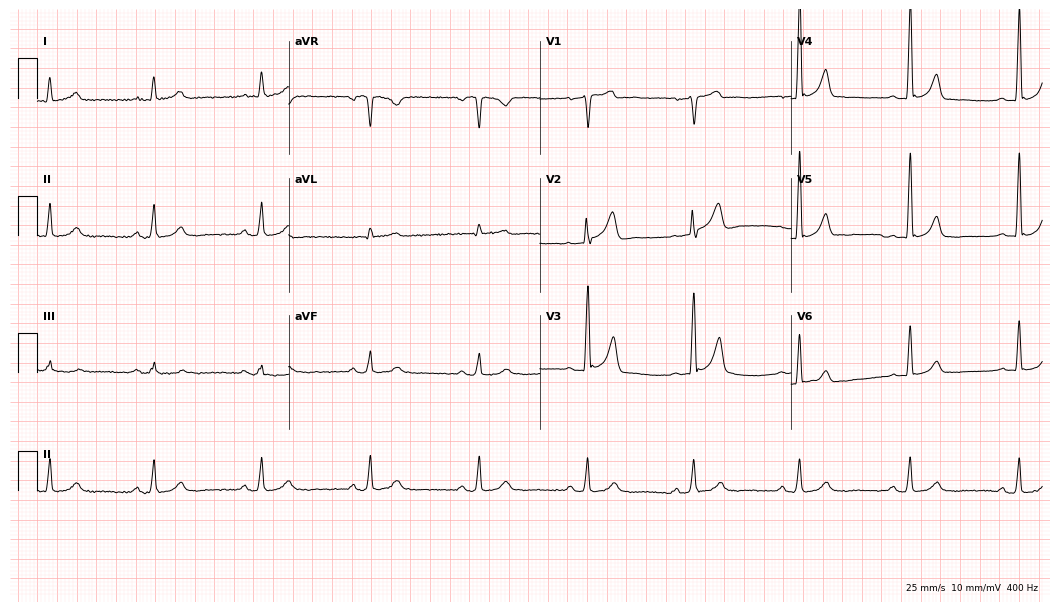
Electrocardiogram (10.2-second recording at 400 Hz), a 64-year-old man. Overall reading on record: normal ECG.